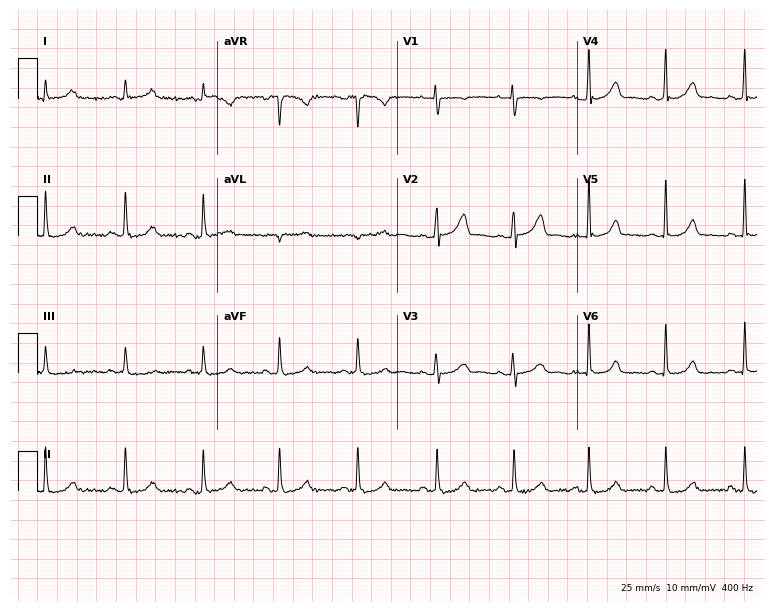
ECG (7.3-second recording at 400 Hz) — a woman, 37 years old. Labelled as a normal ECG.